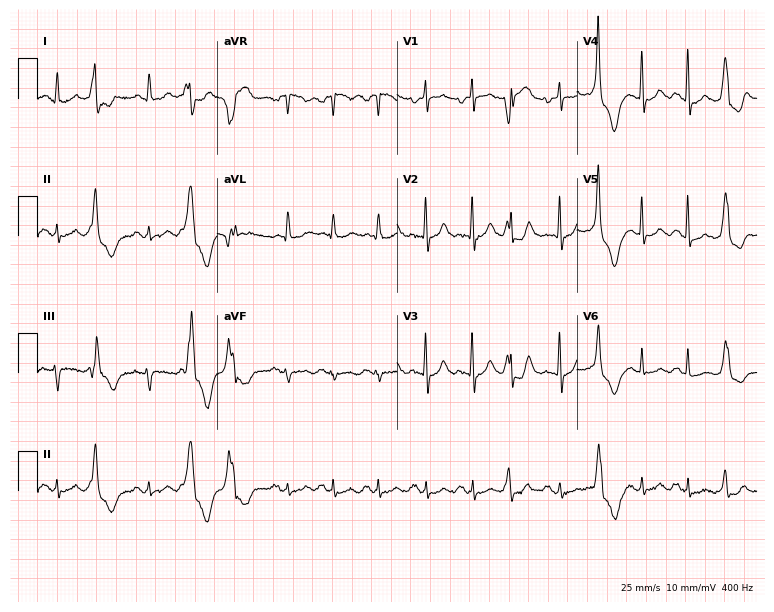
12-lead ECG from a 74-year-old female (7.3-second recording at 400 Hz). Shows sinus tachycardia (a sinus rate of 100 beats per minute or more).